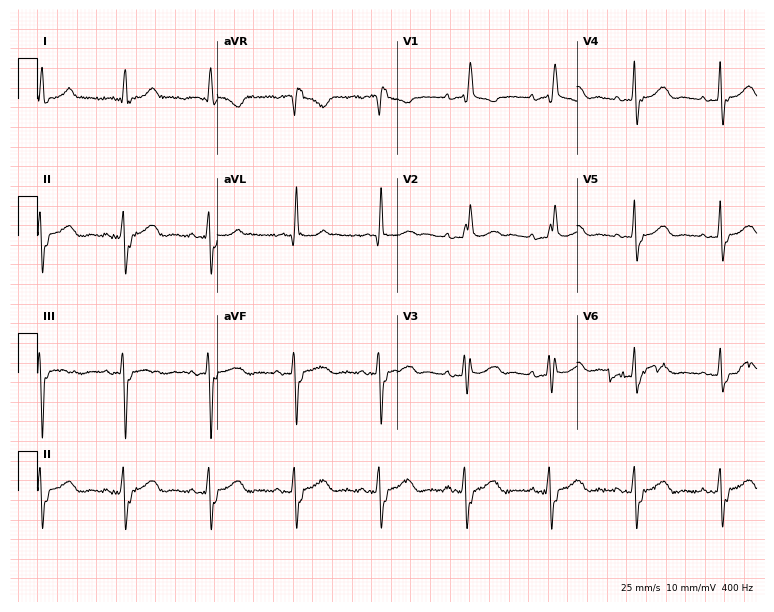
ECG — an 83-year-old female patient. Findings include right bundle branch block.